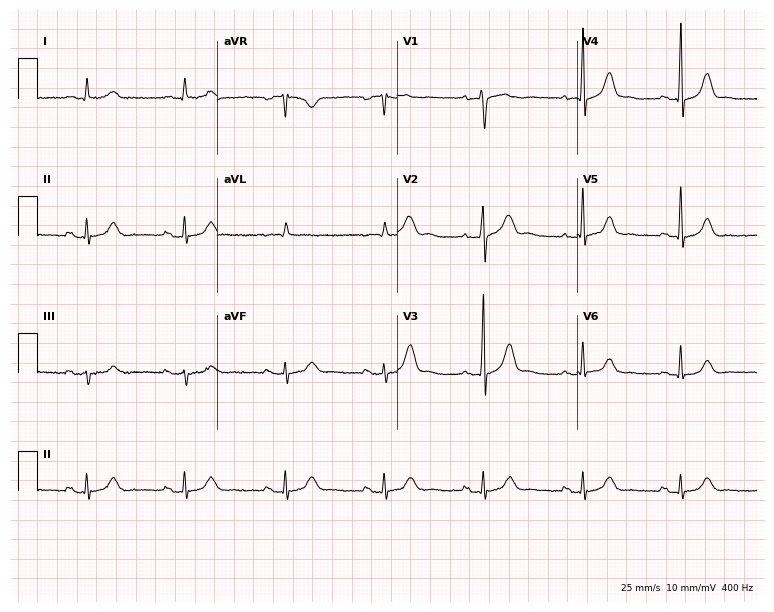
12-lead ECG from a 62-year-old male. Recorded interpretation: within normal limits.